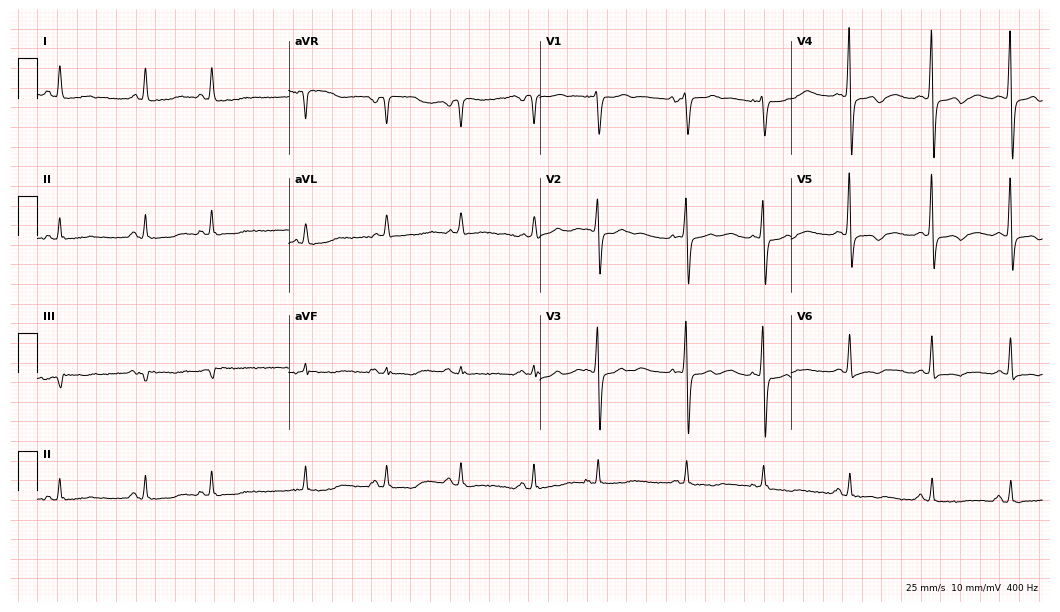
ECG — a female patient, 63 years old. Screened for six findings — first-degree AV block, right bundle branch block, left bundle branch block, sinus bradycardia, atrial fibrillation, sinus tachycardia — none is recorded.